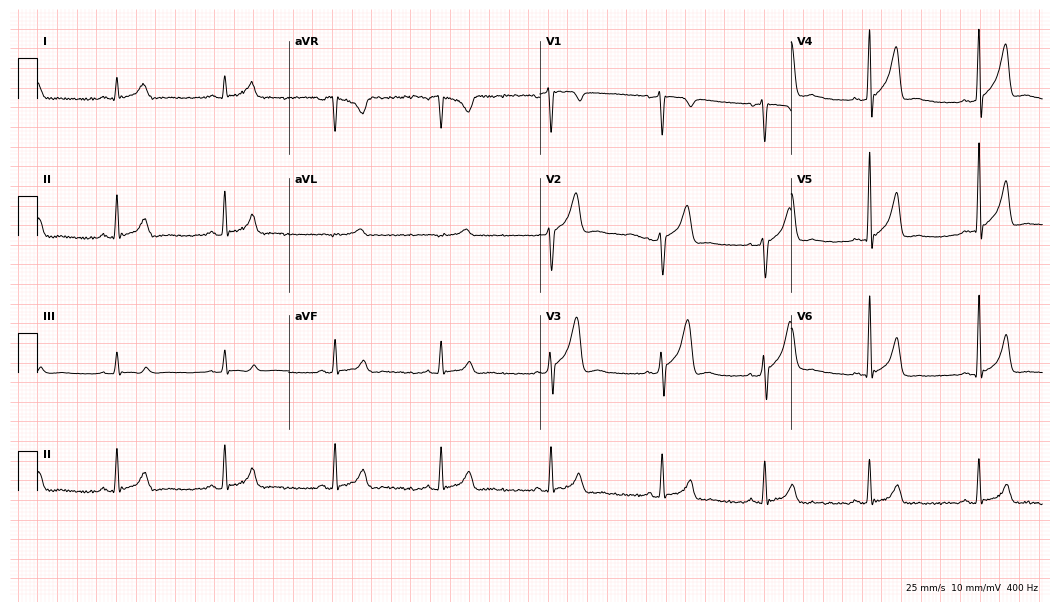
12-lead ECG from a 35-year-old male patient. Screened for six findings — first-degree AV block, right bundle branch block, left bundle branch block, sinus bradycardia, atrial fibrillation, sinus tachycardia — none is recorded. Findings outside these six are not listed.